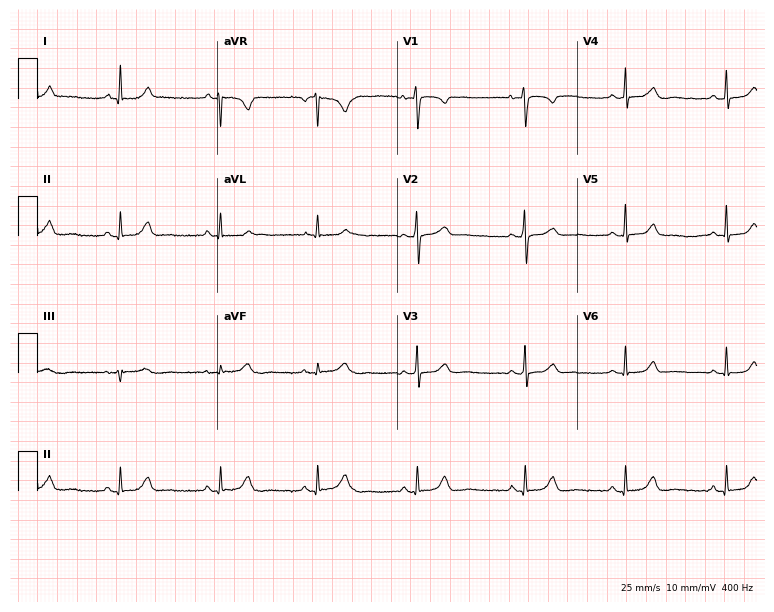
Resting 12-lead electrocardiogram (7.3-second recording at 400 Hz). Patient: a female, 46 years old. None of these six findings is recorded: first-degree AV block, right bundle branch block (RBBB), left bundle branch block (LBBB), sinus bradycardia, atrial fibrillation (AF), sinus tachycardia.